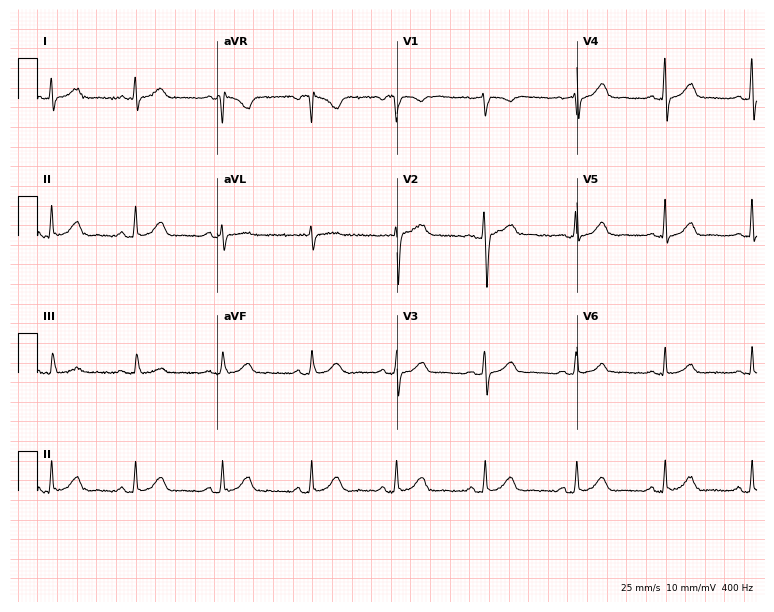
12-lead ECG from a female patient, 35 years old. Recorded interpretation: within normal limits.